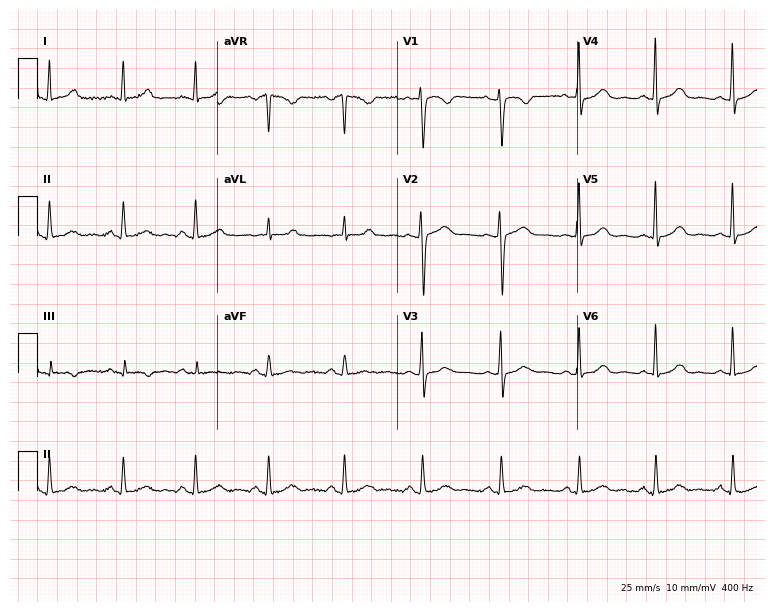
Resting 12-lead electrocardiogram (7.3-second recording at 400 Hz). Patient: a female, 43 years old. None of these six findings is recorded: first-degree AV block, right bundle branch block, left bundle branch block, sinus bradycardia, atrial fibrillation, sinus tachycardia.